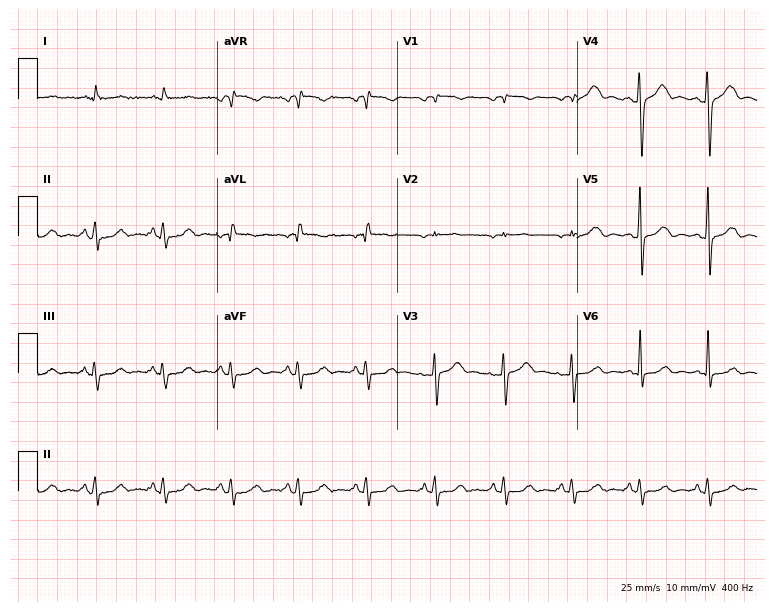
12-lead ECG from a man, 71 years old. No first-degree AV block, right bundle branch block, left bundle branch block, sinus bradycardia, atrial fibrillation or sinus tachycardia recorded for this tracing.